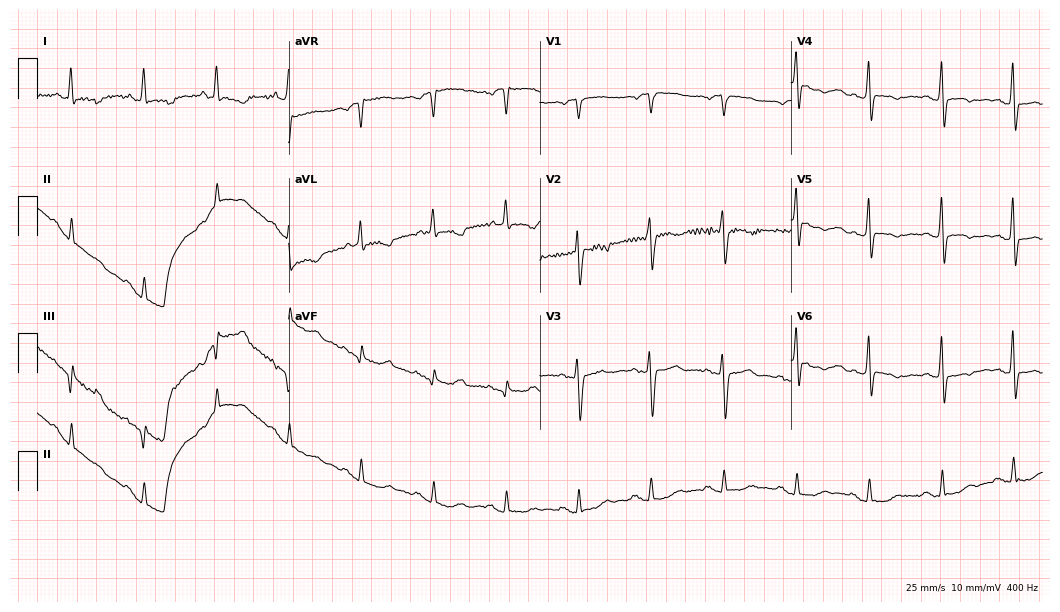
Electrocardiogram, a 73-year-old female. Of the six screened findings (first-degree AV block, right bundle branch block, left bundle branch block, sinus bradycardia, atrial fibrillation, sinus tachycardia), none is recorded.